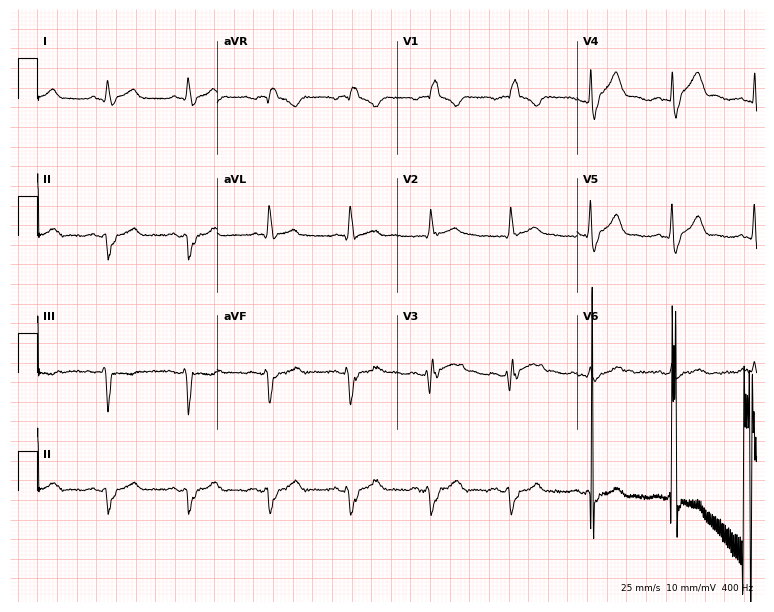
Electrocardiogram, a 56-year-old man. Interpretation includes right bundle branch block (RBBB).